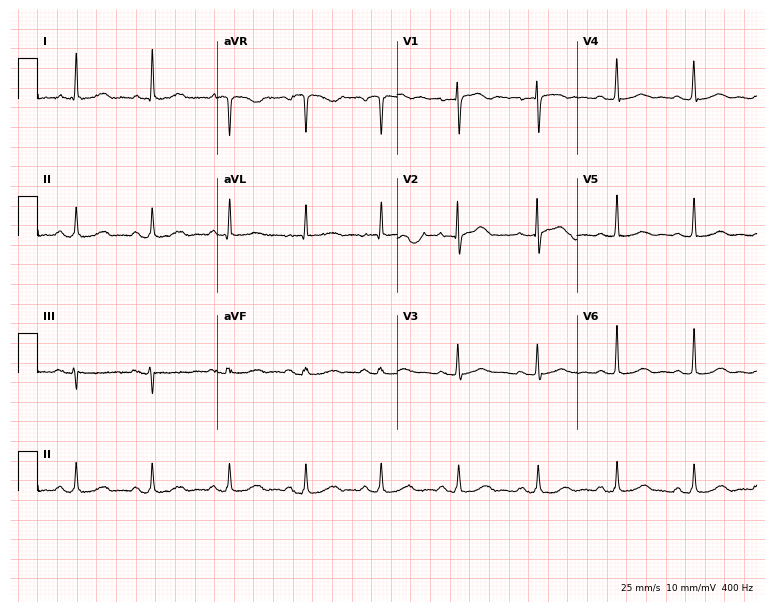
12-lead ECG from a 65-year-old female. Labelled as a normal ECG.